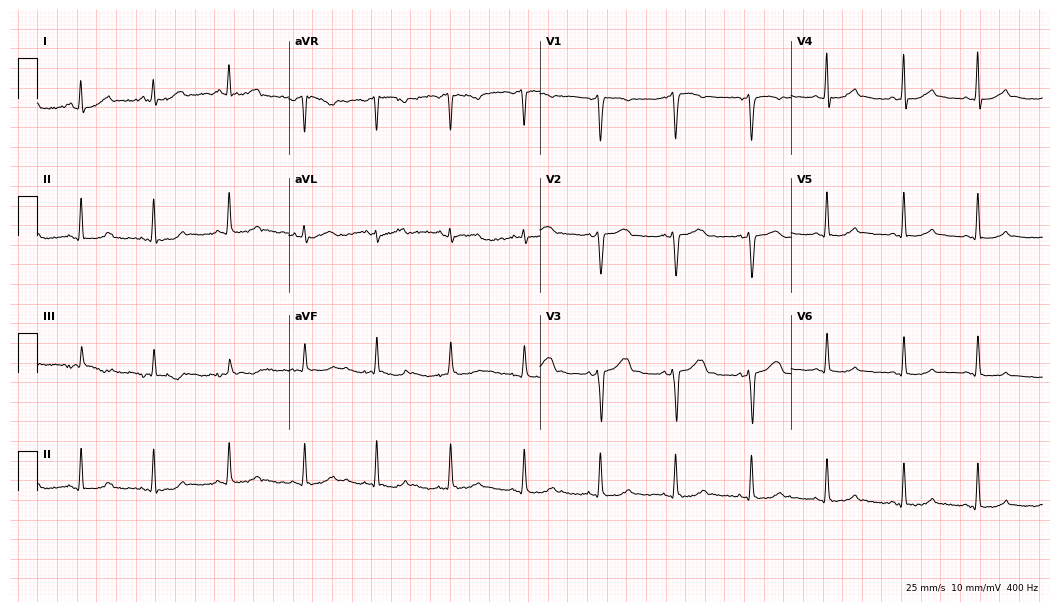
12-lead ECG (10.2-second recording at 400 Hz) from a woman, 28 years old. Screened for six findings — first-degree AV block, right bundle branch block, left bundle branch block, sinus bradycardia, atrial fibrillation, sinus tachycardia — none is recorded. Other findings, if any, are not listed.